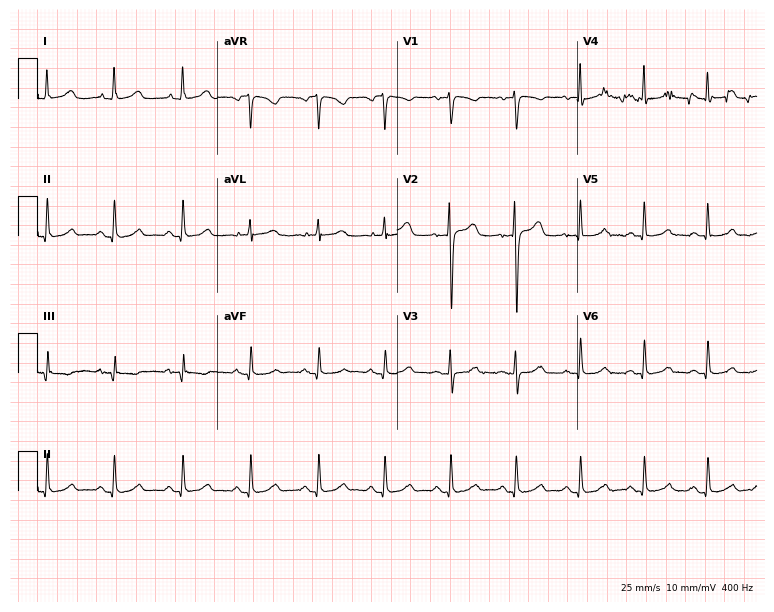
Electrocardiogram (7.3-second recording at 400 Hz), a 38-year-old female patient. Overall reading on record: normal ECG.